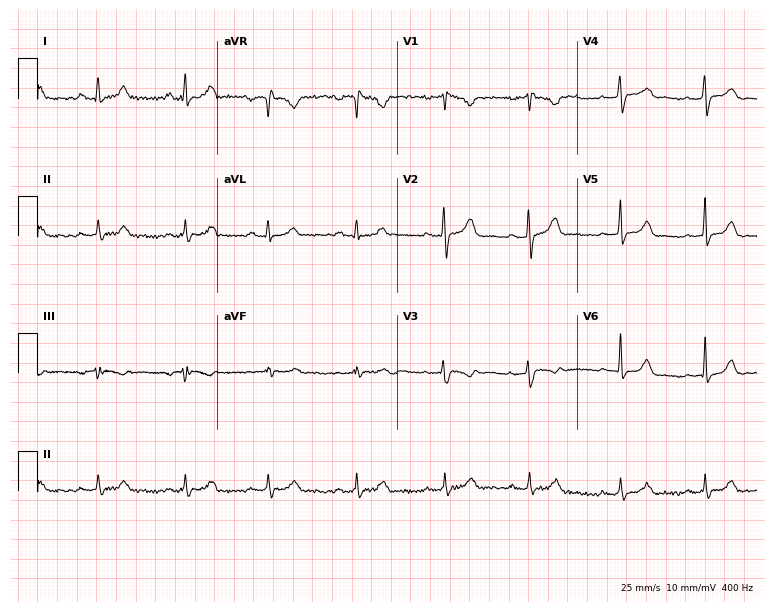
ECG — a female, 26 years old. Labelled as a normal ECG.